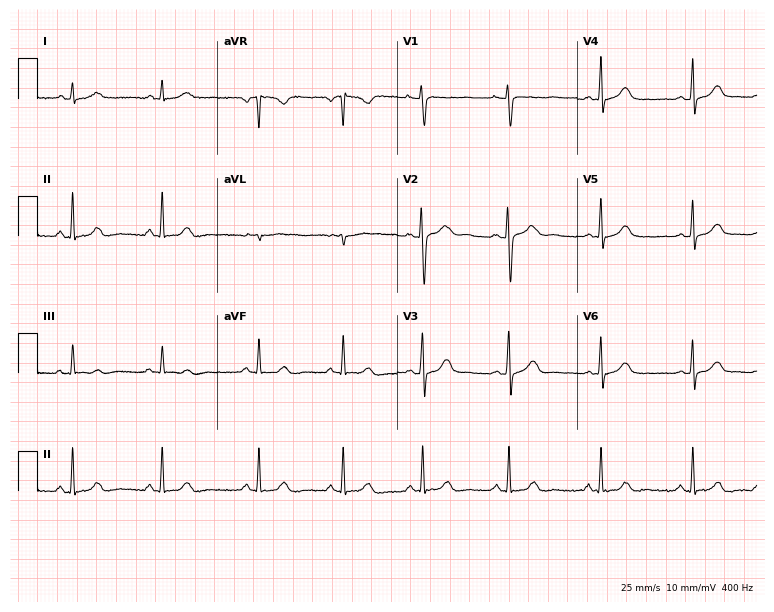
Standard 12-lead ECG recorded from a 31-year-old female patient (7.3-second recording at 400 Hz). None of these six findings is recorded: first-degree AV block, right bundle branch block, left bundle branch block, sinus bradycardia, atrial fibrillation, sinus tachycardia.